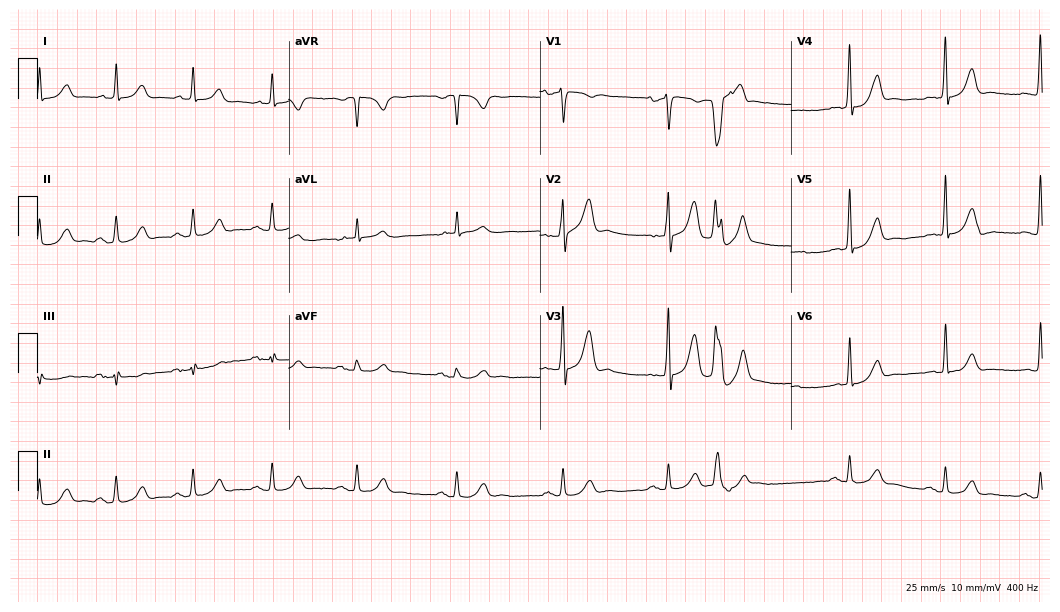
Standard 12-lead ECG recorded from a male, 70 years old (10.2-second recording at 400 Hz). Read as a normal ECG.